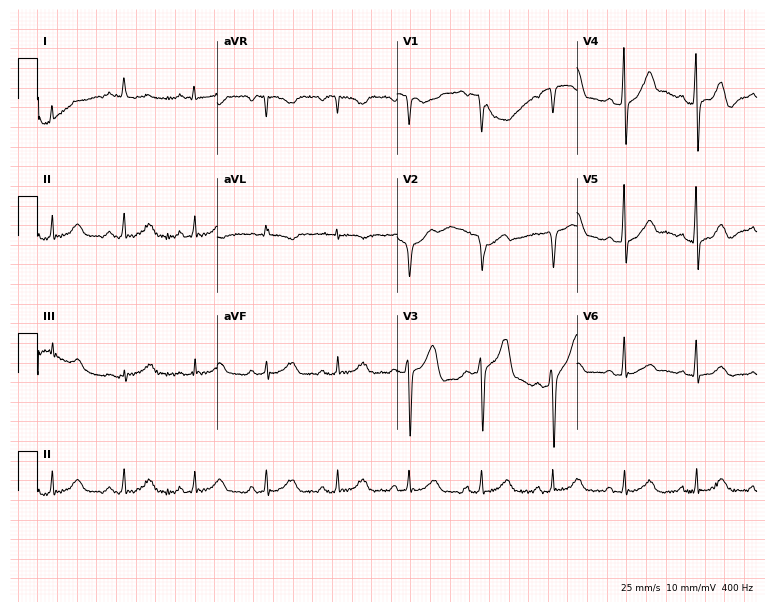
Electrocardiogram, a 54-year-old male patient. Of the six screened findings (first-degree AV block, right bundle branch block, left bundle branch block, sinus bradycardia, atrial fibrillation, sinus tachycardia), none is recorded. Other findings, if any, are not listed.